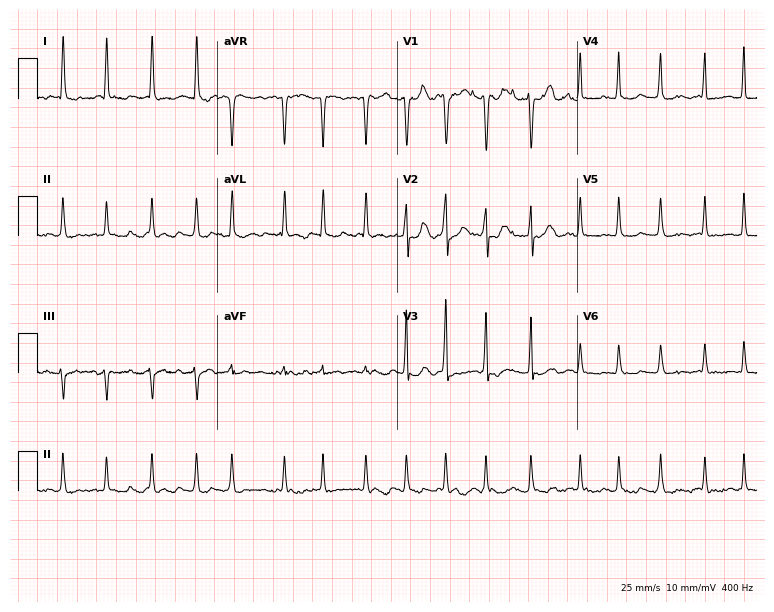
12-lead ECG from a woman, 80 years old (7.3-second recording at 400 Hz). Shows atrial fibrillation (AF).